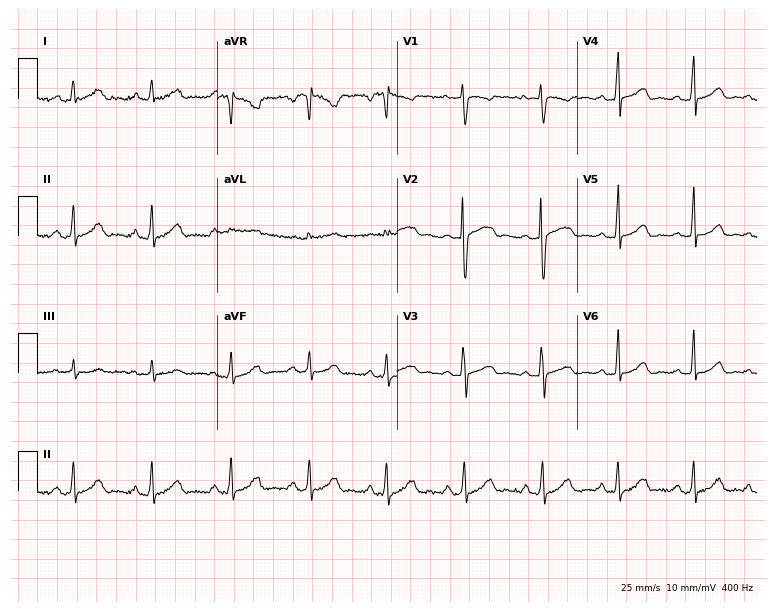
Standard 12-lead ECG recorded from a 26-year-old female patient (7.3-second recording at 400 Hz). Read as a normal ECG.